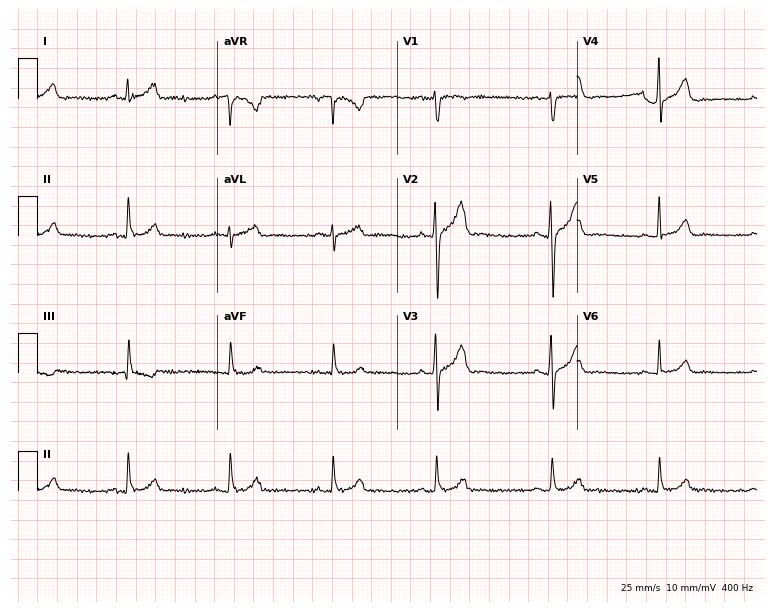
Electrocardiogram (7.3-second recording at 400 Hz), a 26-year-old male. Overall reading on record: normal ECG.